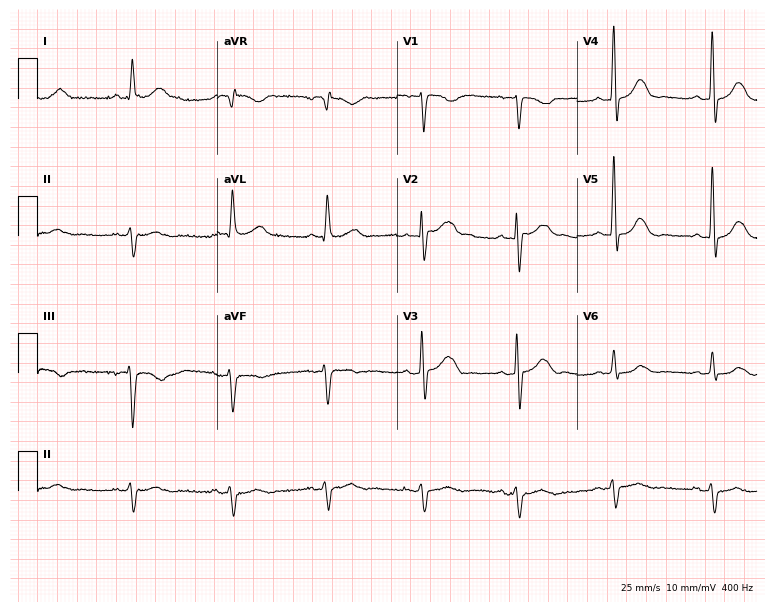
ECG (7.3-second recording at 400 Hz) — a male, 82 years old. Screened for six findings — first-degree AV block, right bundle branch block, left bundle branch block, sinus bradycardia, atrial fibrillation, sinus tachycardia — none is recorded. Only these six findings were labelled.